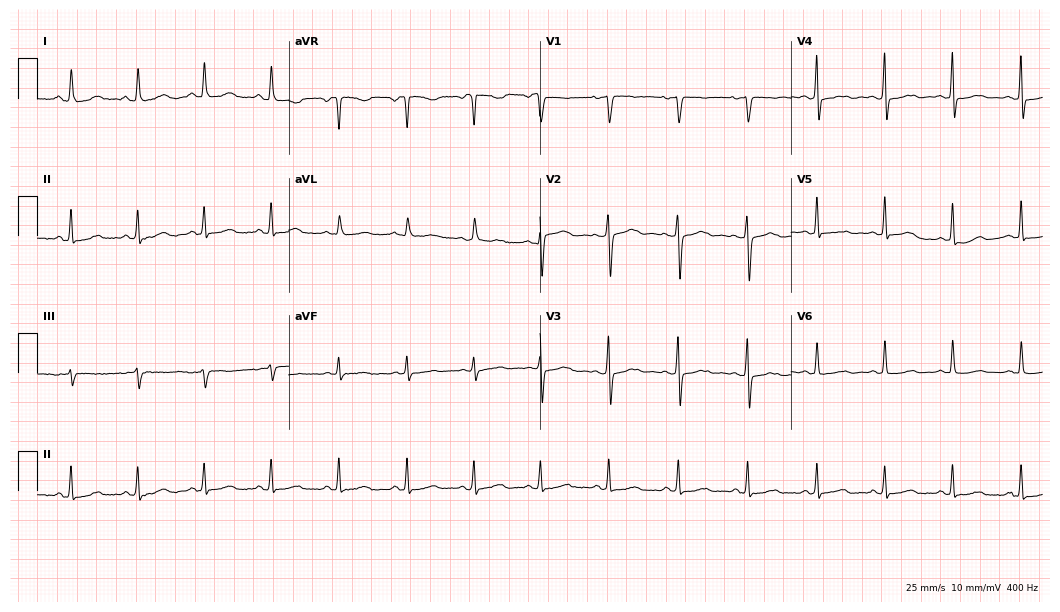
ECG (10.2-second recording at 400 Hz) — a 48-year-old female patient. Labelled as a normal ECG.